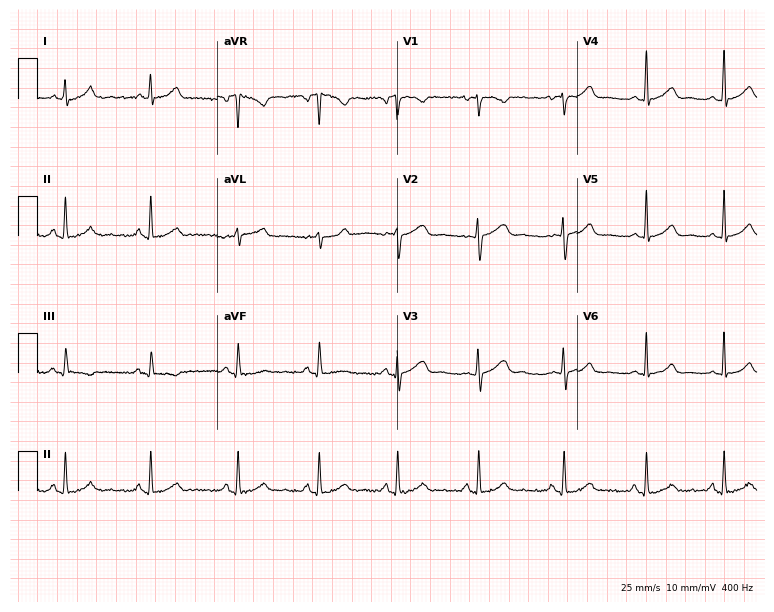
12-lead ECG (7.3-second recording at 400 Hz) from a 27-year-old female. Screened for six findings — first-degree AV block, right bundle branch block (RBBB), left bundle branch block (LBBB), sinus bradycardia, atrial fibrillation (AF), sinus tachycardia — none is recorded.